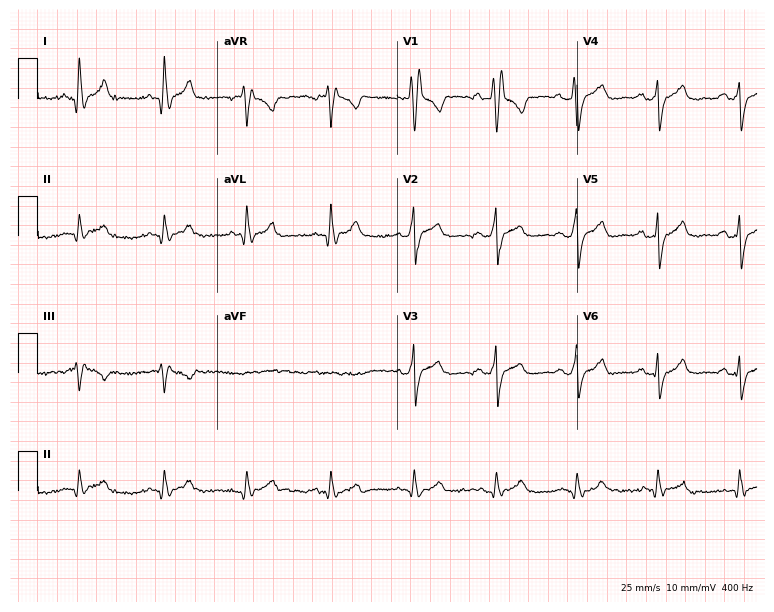
Standard 12-lead ECG recorded from a 39-year-old male patient (7.3-second recording at 400 Hz). The tracing shows right bundle branch block (RBBB).